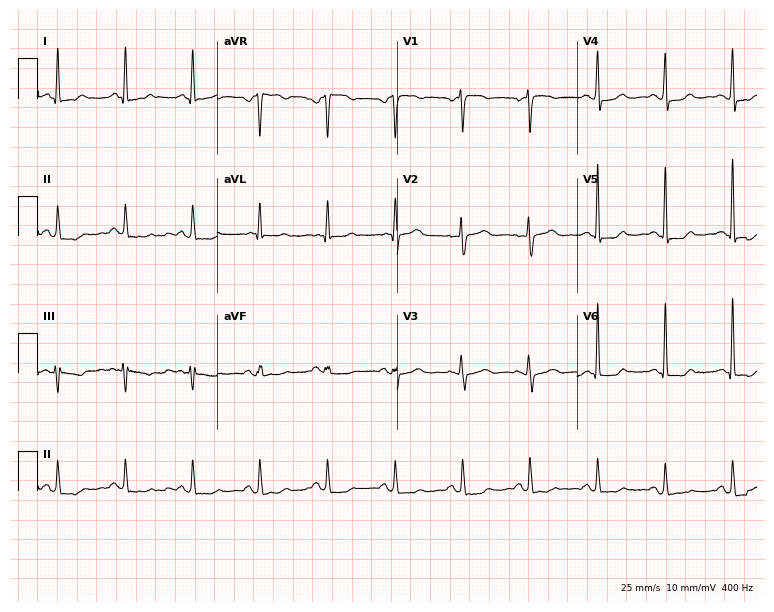
12-lead ECG from a female patient, 54 years old. Screened for six findings — first-degree AV block, right bundle branch block, left bundle branch block, sinus bradycardia, atrial fibrillation, sinus tachycardia — none is recorded. Other findings, if any, are not listed.